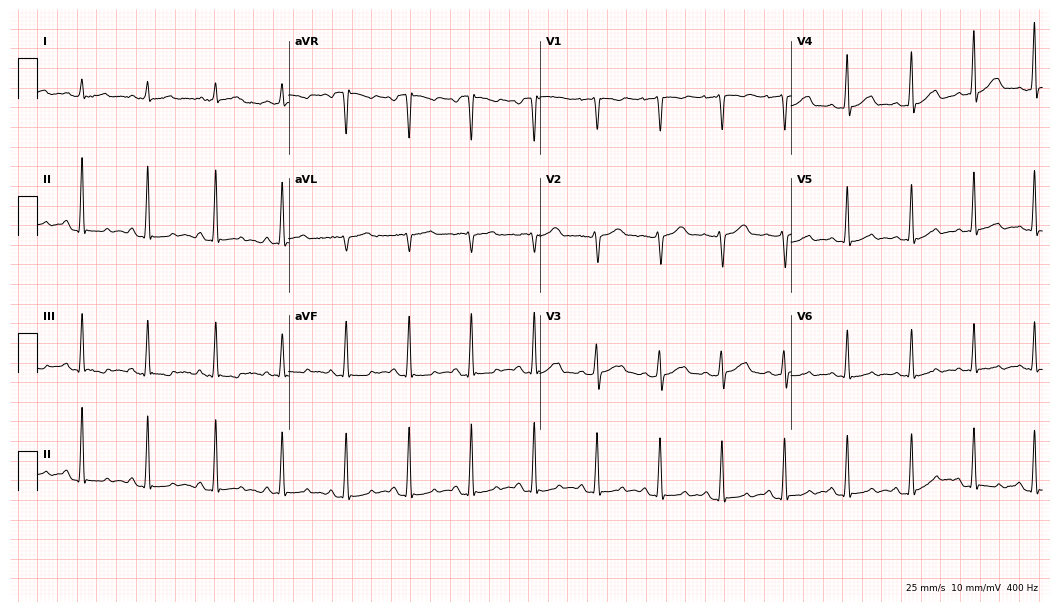
12-lead ECG from a 17-year-old female (10.2-second recording at 400 Hz). No first-degree AV block, right bundle branch block, left bundle branch block, sinus bradycardia, atrial fibrillation or sinus tachycardia recorded for this tracing.